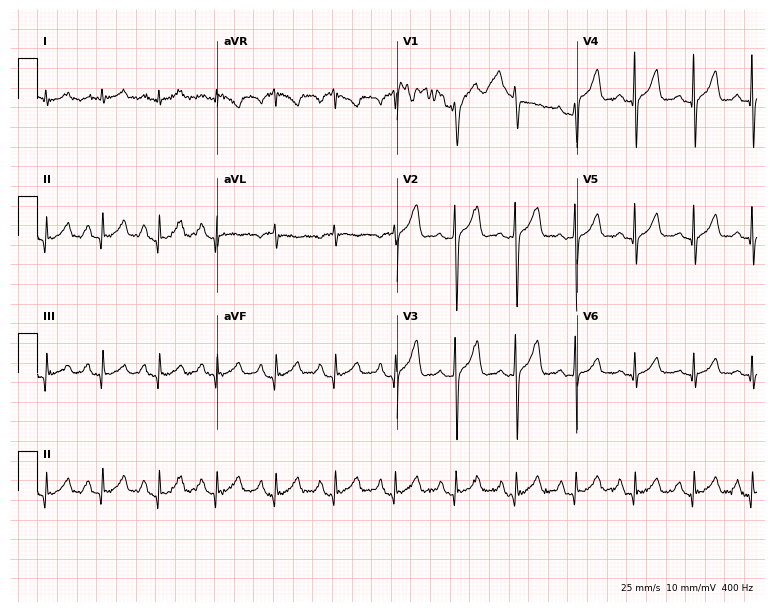
Standard 12-lead ECG recorded from a 54-year-old male patient. The tracing shows sinus tachycardia (a sinus rate of 100 beats per minute or more).